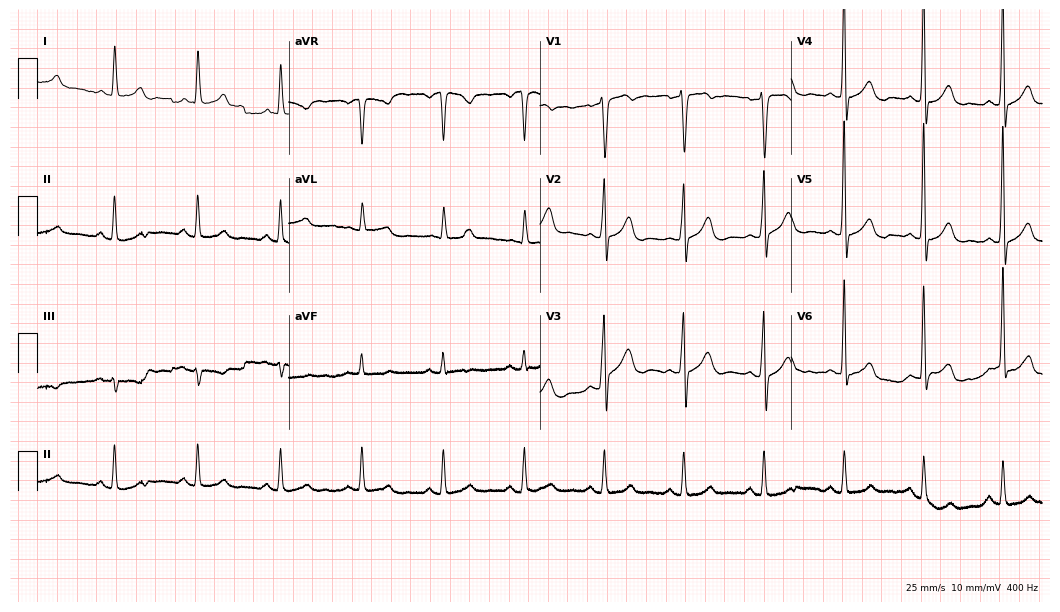
Standard 12-lead ECG recorded from a 72-year-old male patient. Read as a normal ECG.